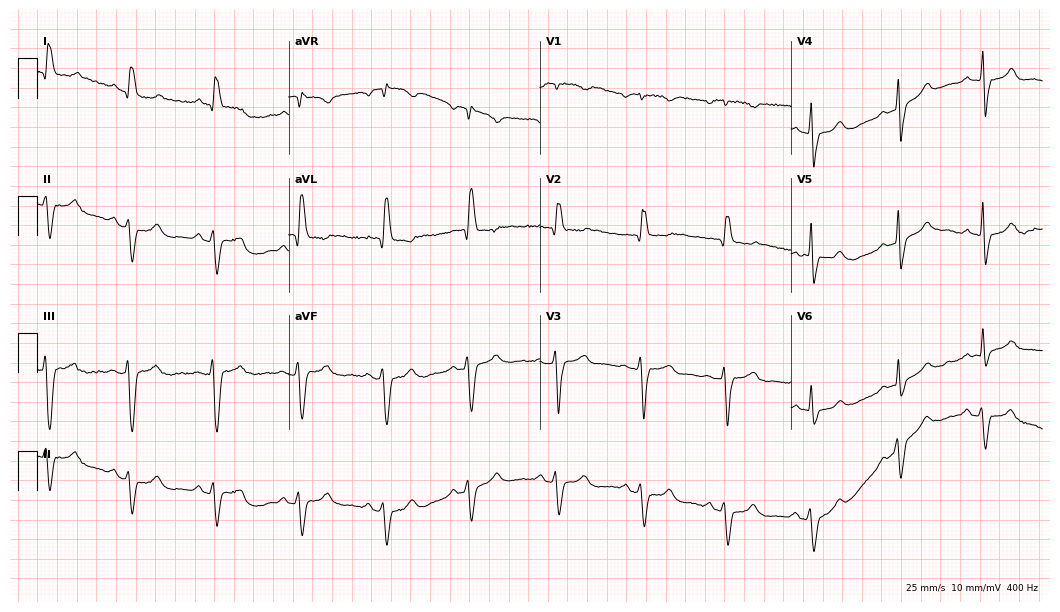
ECG (10.2-second recording at 400 Hz) — an 87-year-old female. Findings include right bundle branch block (RBBB).